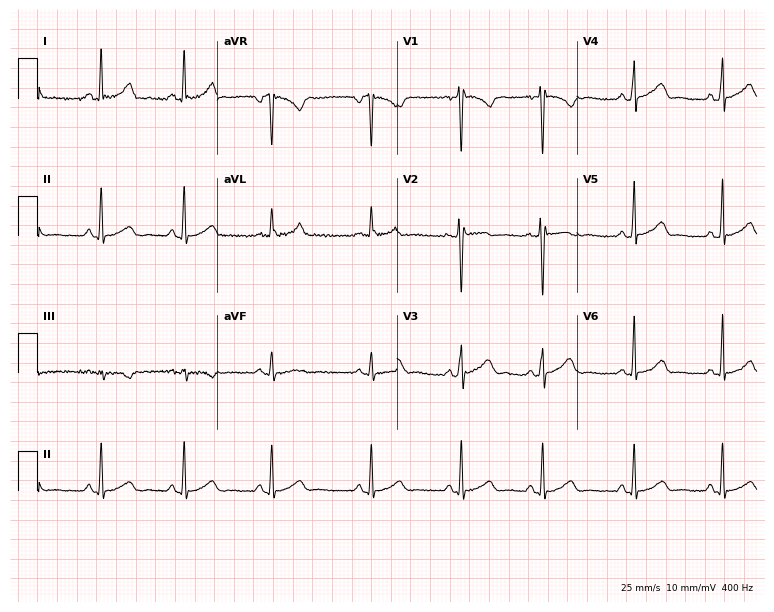
Electrocardiogram, a female, 25 years old. Of the six screened findings (first-degree AV block, right bundle branch block, left bundle branch block, sinus bradycardia, atrial fibrillation, sinus tachycardia), none is recorded.